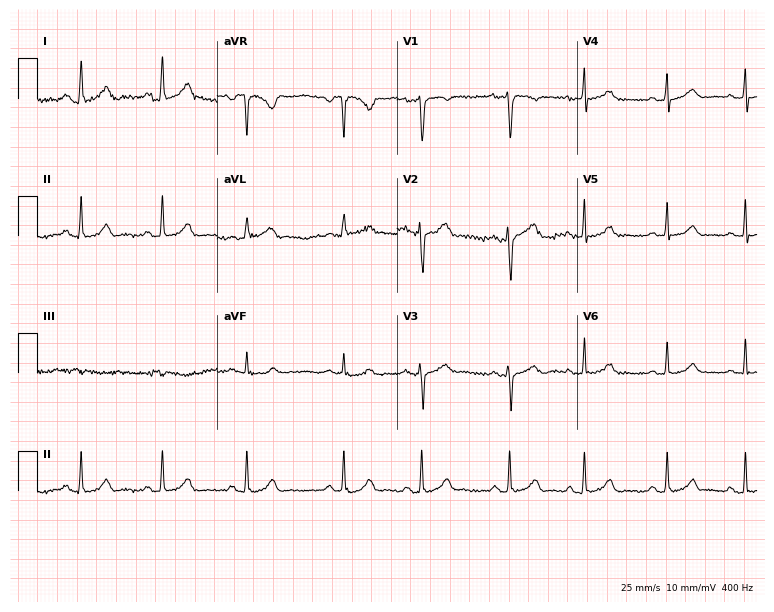
Electrocardiogram, a female, 37 years old. Overall reading on record: normal ECG.